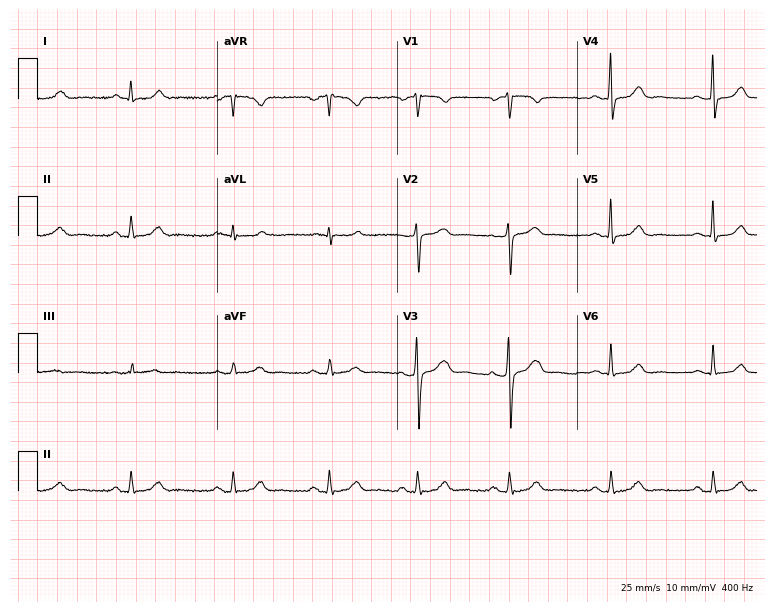
12-lead ECG from a 43-year-old woman. Labelled as a normal ECG.